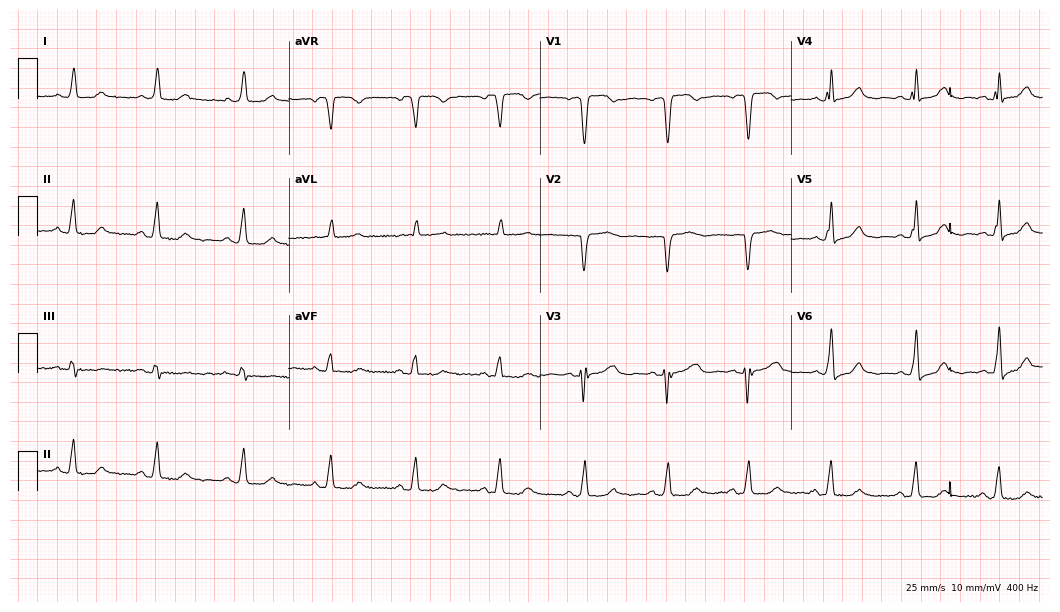
12-lead ECG (10.2-second recording at 400 Hz) from a female patient, 73 years old. Screened for six findings — first-degree AV block, right bundle branch block, left bundle branch block, sinus bradycardia, atrial fibrillation, sinus tachycardia — none is recorded. Findings outside these six are not listed.